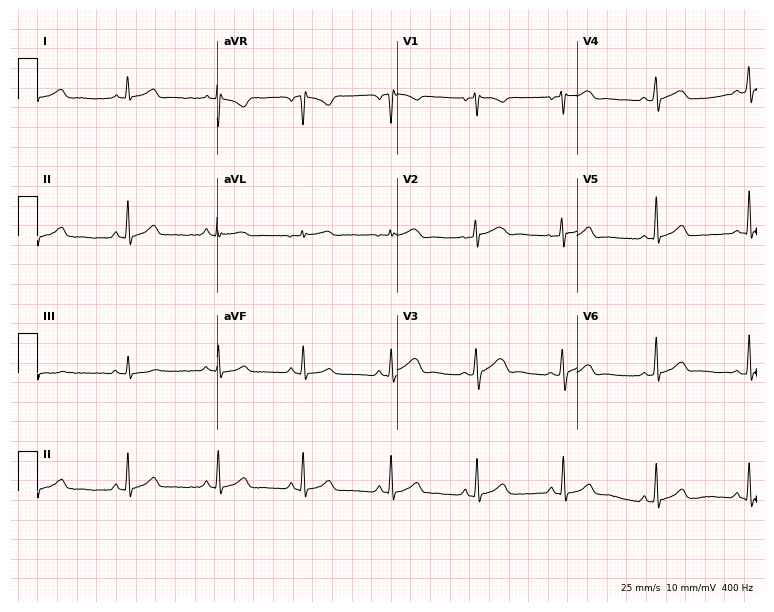
Standard 12-lead ECG recorded from a female, 21 years old. None of these six findings is recorded: first-degree AV block, right bundle branch block (RBBB), left bundle branch block (LBBB), sinus bradycardia, atrial fibrillation (AF), sinus tachycardia.